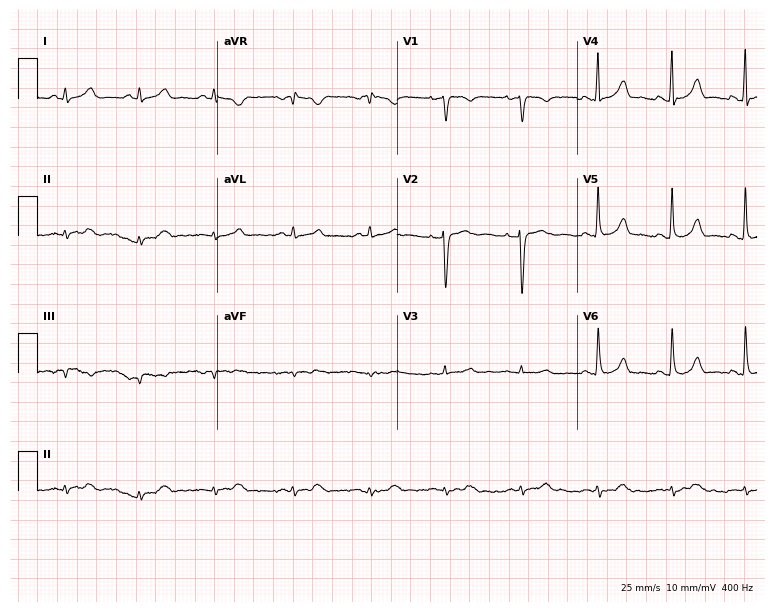
ECG (7.3-second recording at 400 Hz) — a female, 21 years old. Labelled as a normal ECG.